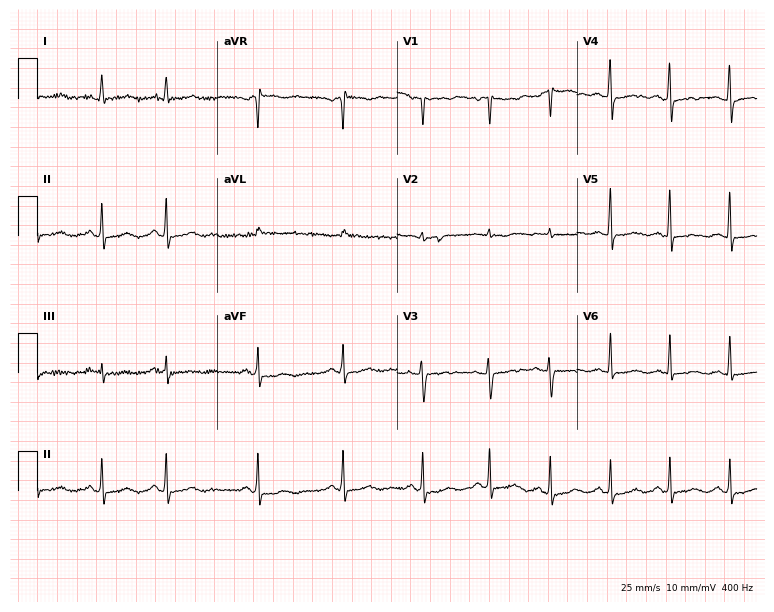
Resting 12-lead electrocardiogram (7.3-second recording at 400 Hz). Patient: a 59-year-old female. None of these six findings is recorded: first-degree AV block, right bundle branch block, left bundle branch block, sinus bradycardia, atrial fibrillation, sinus tachycardia. Other findings, if any, are not listed.